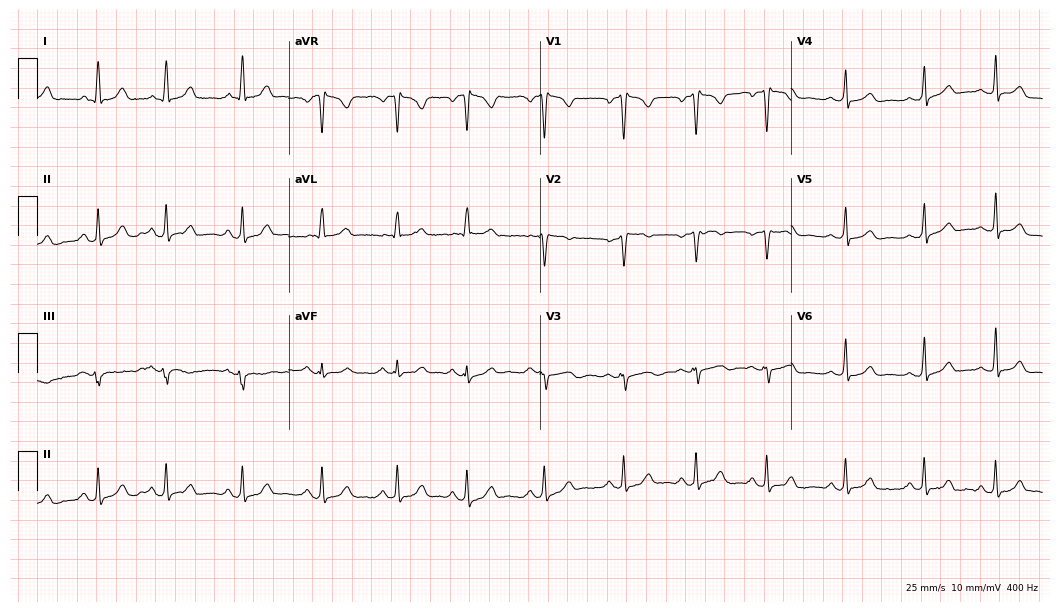
Electrocardiogram (10.2-second recording at 400 Hz), a 32-year-old female patient. Of the six screened findings (first-degree AV block, right bundle branch block (RBBB), left bundle branch block (LBBB), sinus bradycardia, atrial fibrillation (AF), sinus tachycardia), none is recorded. Findings outside these six are not listed.